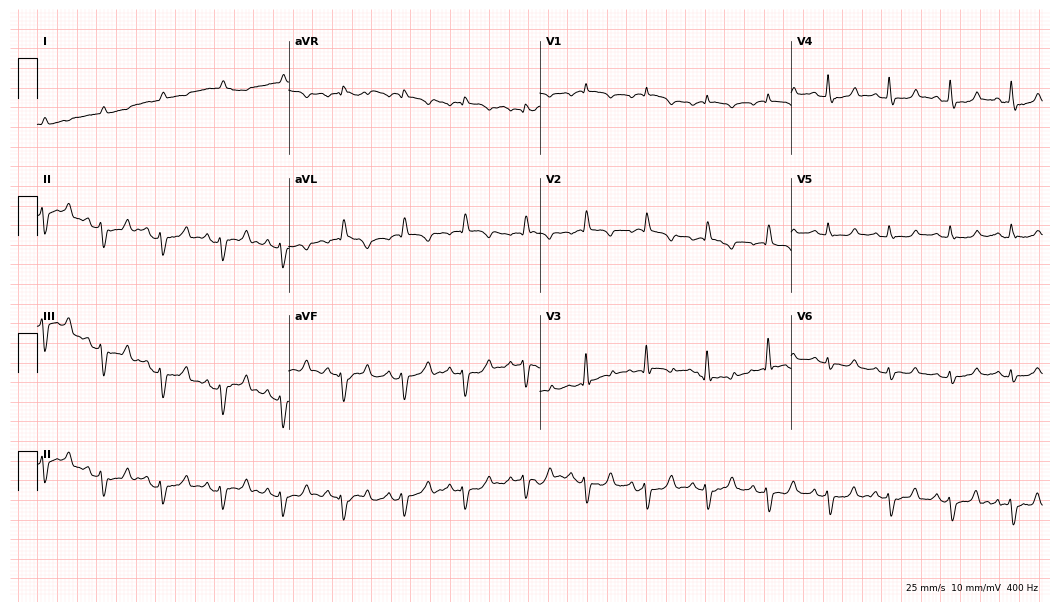
Standard 12-lead ECG recorded from a woman, 83 years old. None of these six findings is recorded: first-degree AV block, right bundle branch block, left bundle branch block, sinus bradycardia, atrial fibrillation, sinus tachycardia.